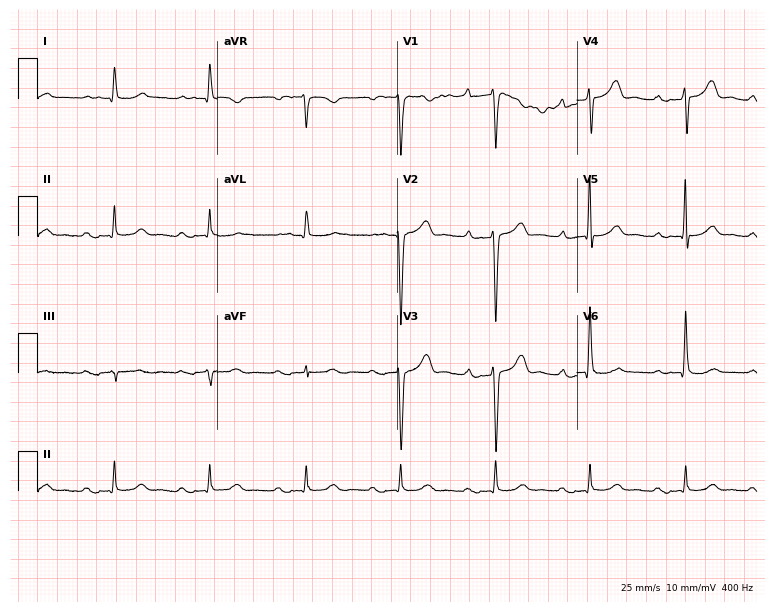
Electrocardiogram, a male patient, 60 years old. Interpretation includes first-degree AV block.